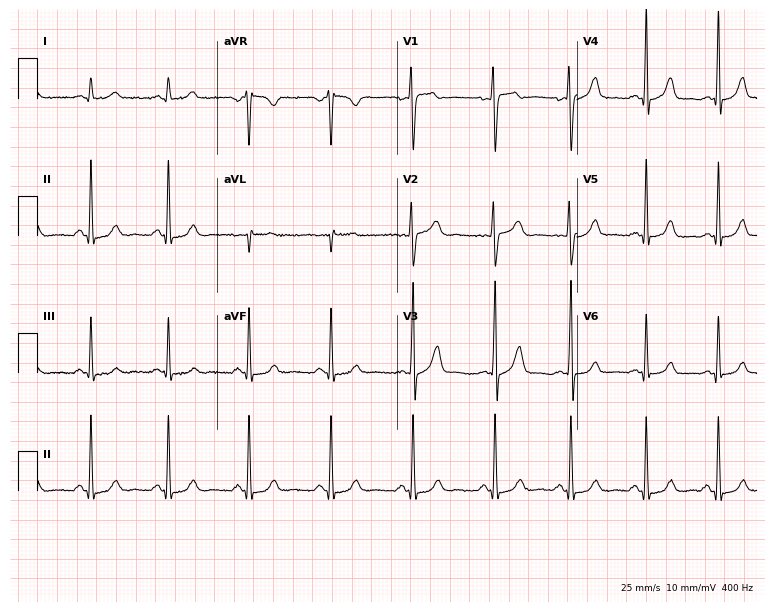
ECG (7.3-second recording at 400 Hz) — a 28-year-old female patient. Screened for six findings — first-degree AV block, right bundle branch block, left bundle branch block, sinus bradycardia, atrial fibrillation, sinus tachycardia — none is recorded. Only these six findings were labelled.